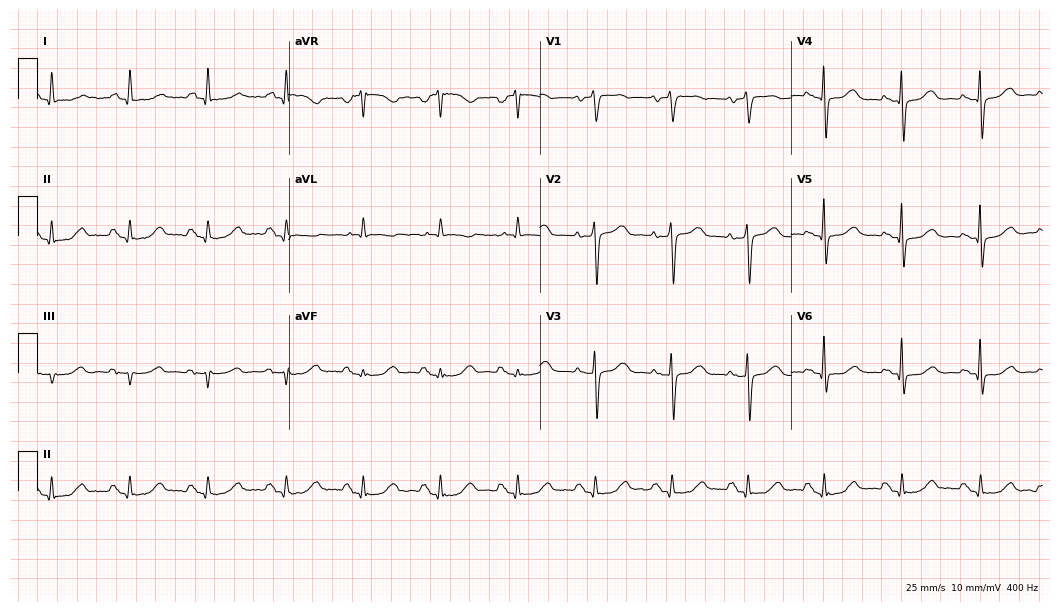
12-lead ECG (10.2-second recording at 400 Hz) from a 64-year-old female. Screened for six findings — first-degree AV block, right bundle branch block (RBBB), left bundle branch block (LBBB), sinus bradycardia, atrial fibrillation (AF), sinus tachycardia — none is recorded.